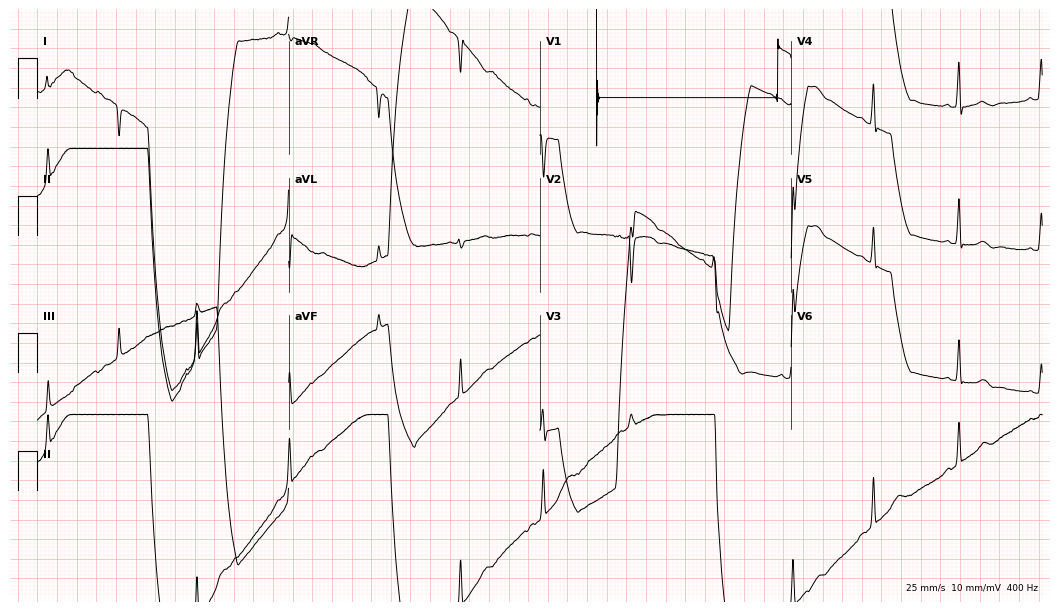
Electrocardiogram, a woman, 35 years old. Of the six screened findings (first-degree AV block, right bundle branch block (RBBB), left bundle branch block (LBBB), sinus bradycardia, atrial fibrillation (AF), sinus tachycardia), none is recorded.